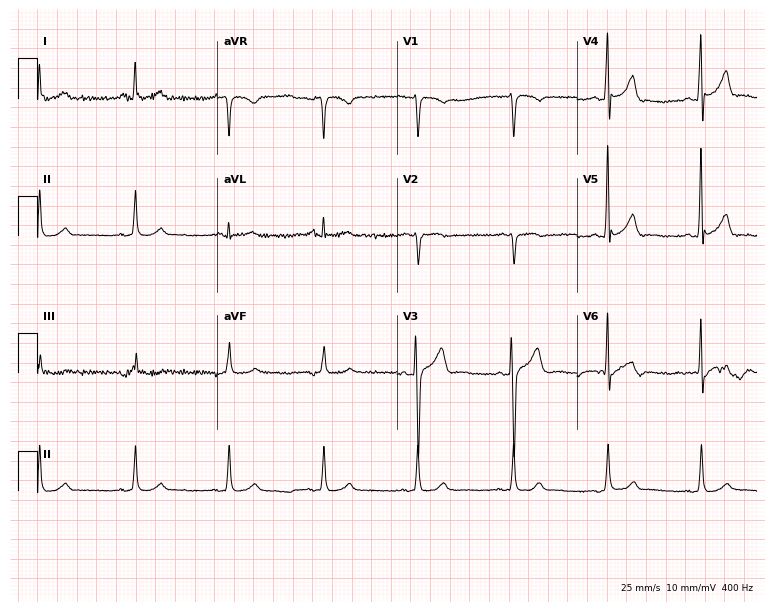
12-lead ECG from a 62-year-old male (7.3-second recording at 400 Hz). Recorded interpretation: within normal limits.